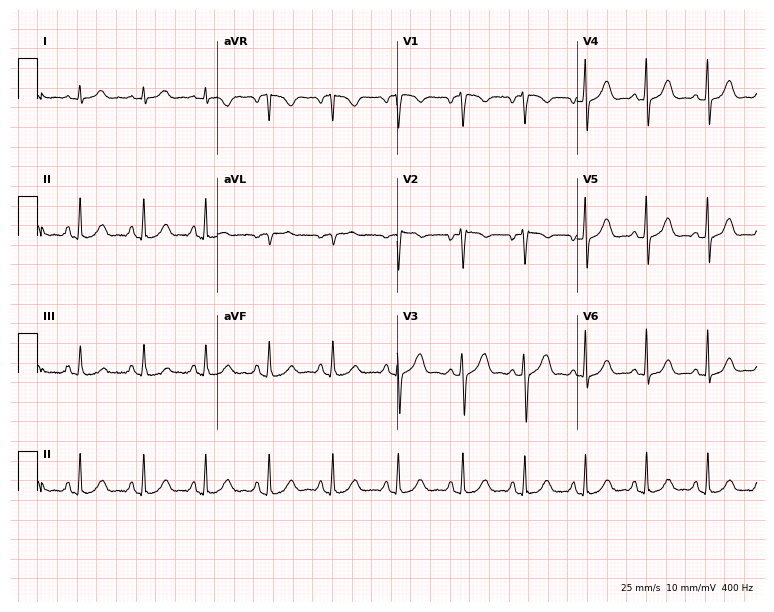
Resting 12-lead electrocardiogram (7.3-second recording at 400 Hz). Patient: a 44-year-old female. Read as a normal ECG.